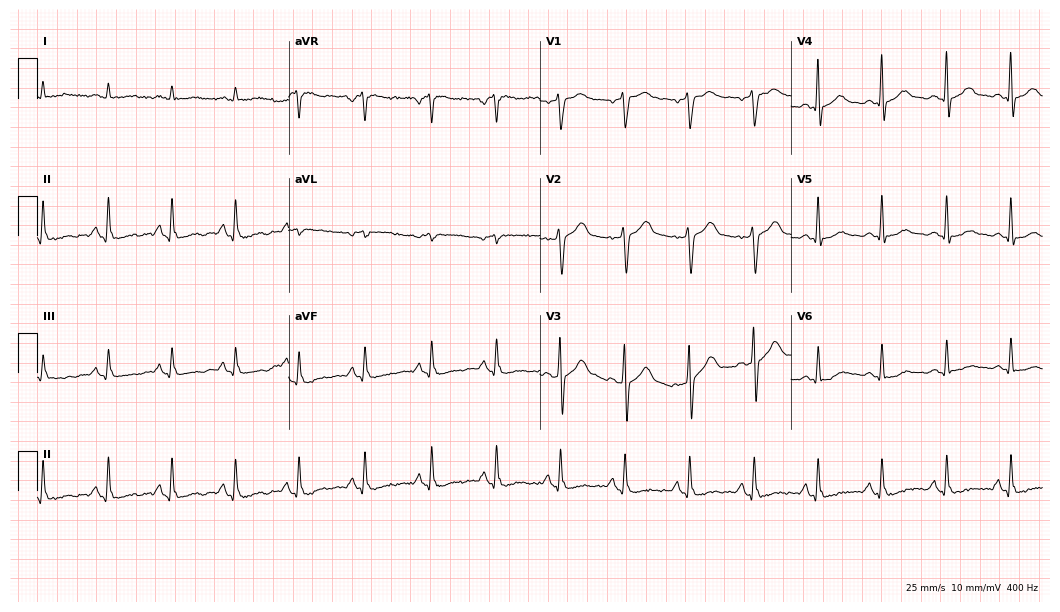
12-lead ECG (10.2-second recording at 400 Hz) from a male patient, 61 years old. Screened for six findings — first-degree AV block, right bundle branch block, left bundle branch block, sinus bradycardia, atrial fibrillation, sinus tachycardia — none is recorded.